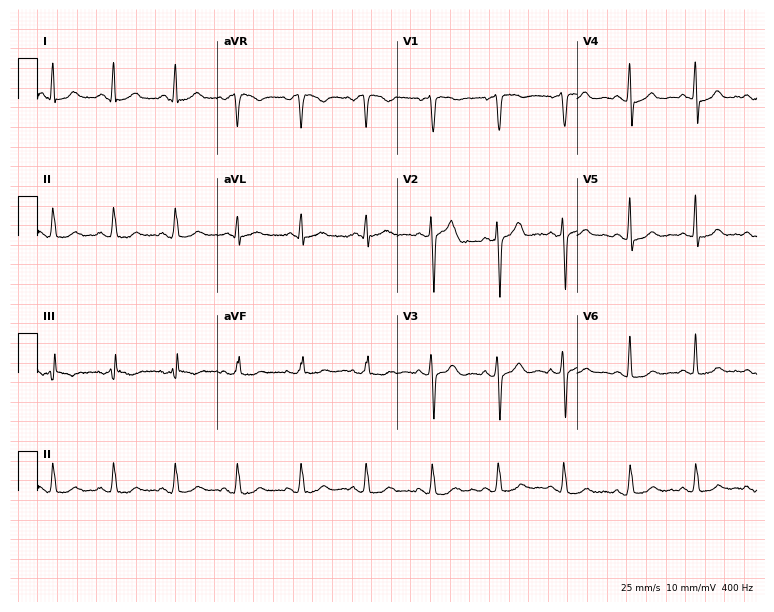
Resting 12-lead electrocardiogram (7.3-second recording at 400 Hz). Patient: a male, 40 years old. Read as a normal ECG.